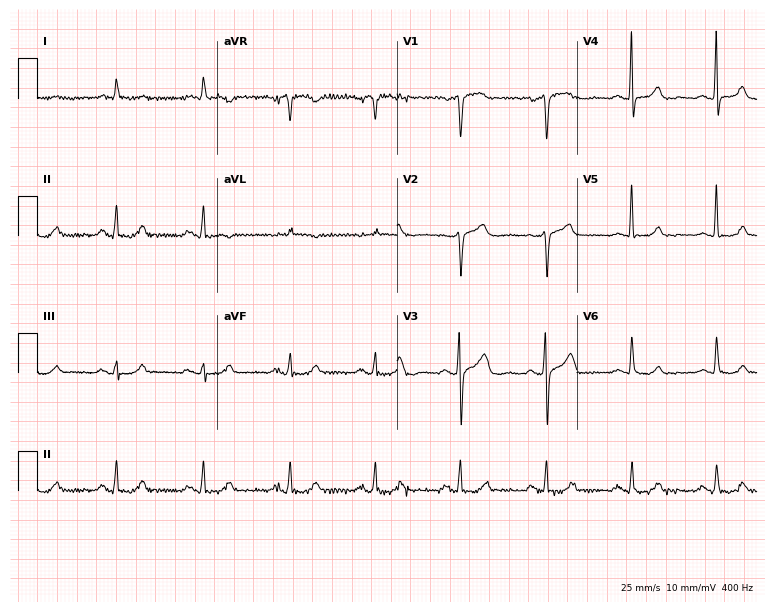
12-lead ECG from a male, 71 years old (7.3-second recording at 400 Hz). No first-degree AV block, right bundle branch block, left bundle branch block, sinus bradycardia, atrial fibrillation or sinus tachycardia recorded for this tracing.